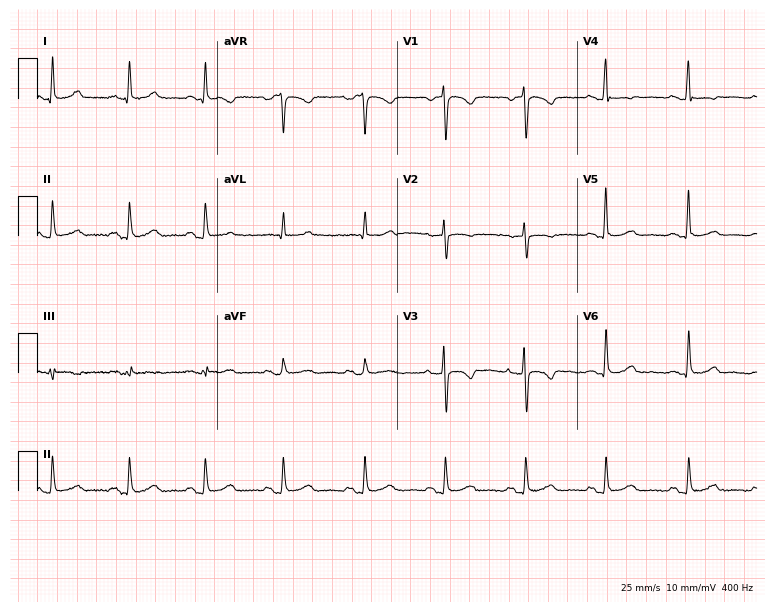
Standard 12-lead ECG recorded from a 50-year-old woman (7.3-second recording at 400 Hz). None of these six findings is recorded: first-degree AV block, right bundle branch block (RBBB), left bundle branch block (LBBB), sinus bradycardia, atrial fibrillation (AF), sinus tachycardia.